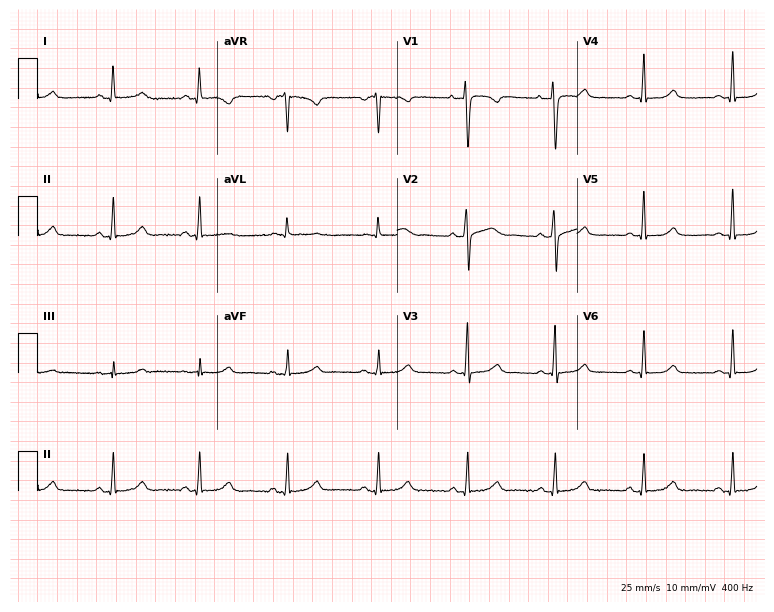
Resting 12-lead electrocardiogram (7.3-second recording at 400 Hz). Patient: a 45-year-old female. None of these six findings is recorded: first-degree AV block, right bundle branch block, left bundle branch block, sinus bradycardia, atrial fibrillation, sinus tachycardia. Only these six findings were labelled.